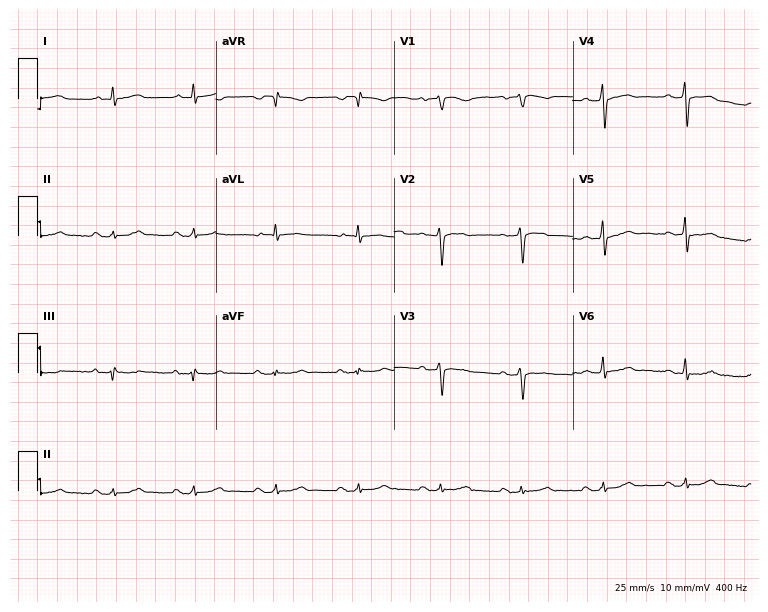
Resting 12-lead electrocardiogram. Patient: a male, 67 years old. Read as a normal ECG.